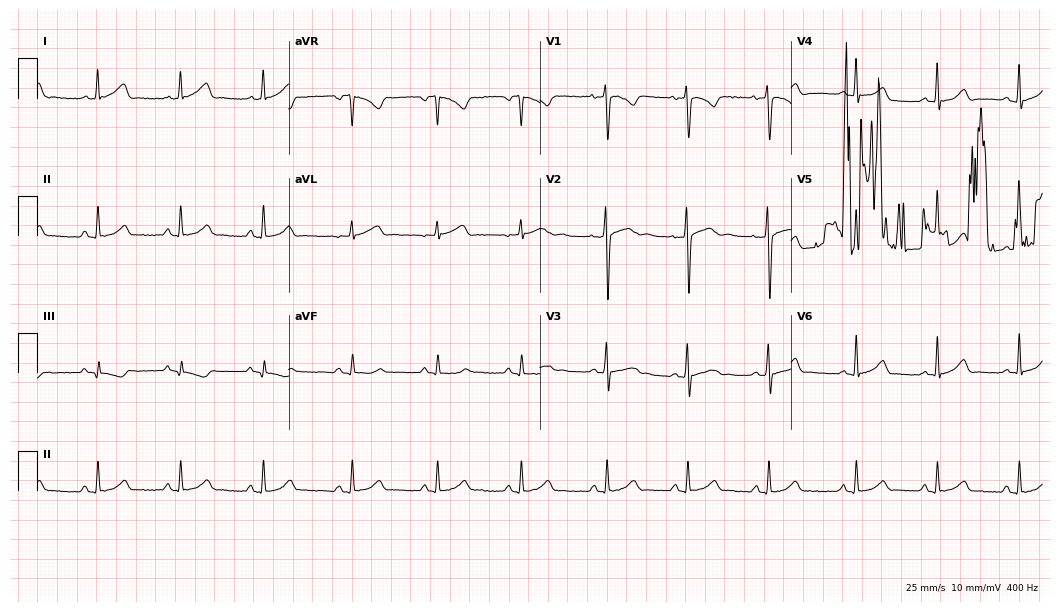
ECG — a 25-year-old female patient. Screened for six findings — first-degree AV block, right bundle branch block, left bundle branch block, sinus bradycardia, atrial fibrillation, sinus tachycardia — none is recorded. Other findings, if any, are not listed.